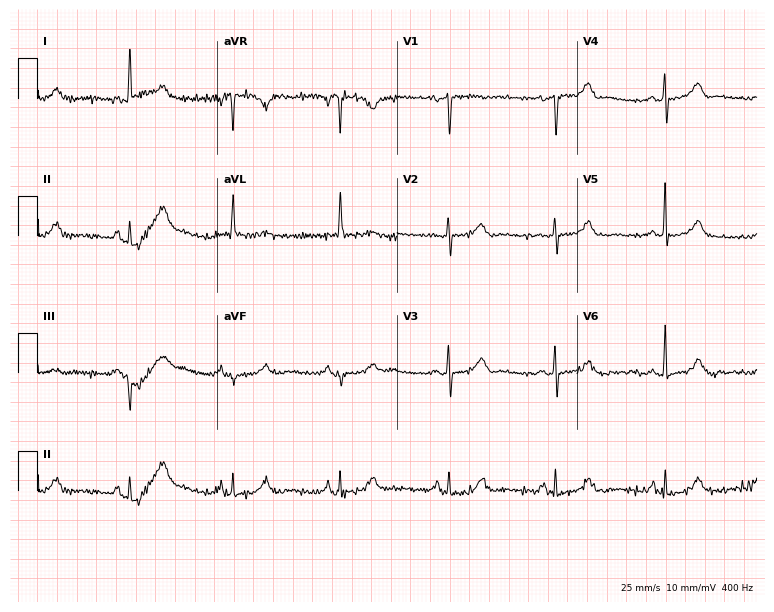
Resting 12-lead electrocardiogram. Patient: a female, 85 years old. None of these six findings is recorded: first-degree AV block, right bundle branch block, left bundle branch block, sinus bradycardia, atrial fibrillation, sinus tachycardia. Only these six findings were labelled.